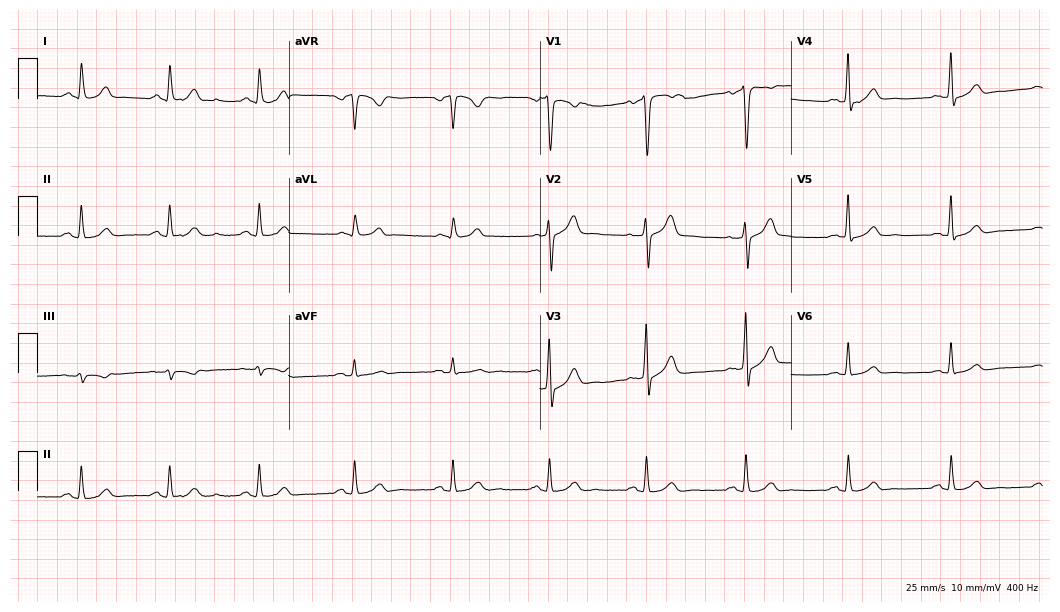
Standard 12-lead ECG recorded from a 53-year-old male. Read as a normal ECG.